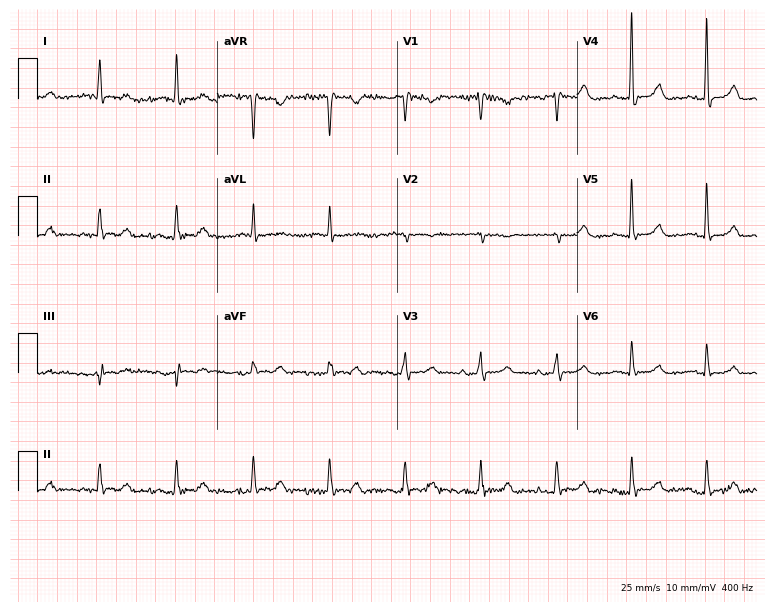
ECG — a 78-year-old woman. Screened for six findings — first-degree AV block, right bundle branch block, left bundle branch block, sinus bradycardia, atrial fibrillation, sinus tachycardia — none is recorded.